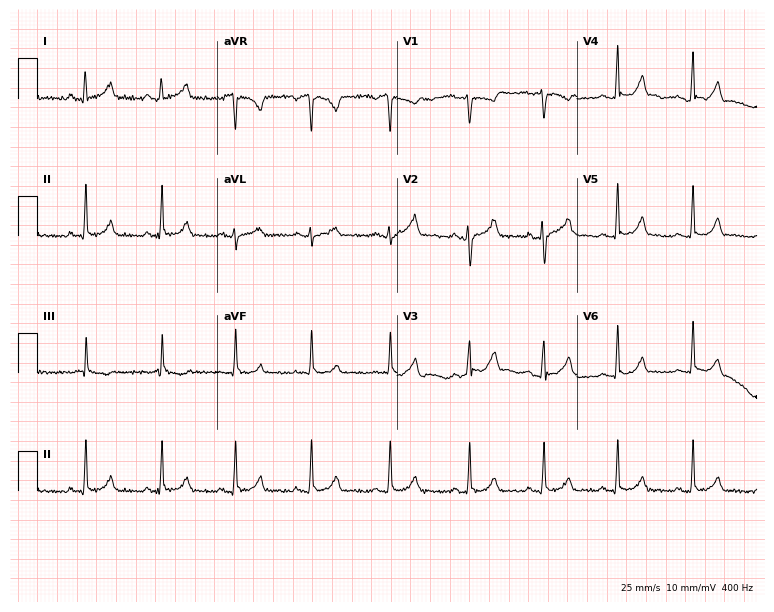
Resting 12-lead electrocardiogram. Patient: a 36-year-old woman. Read as a normal ECG.